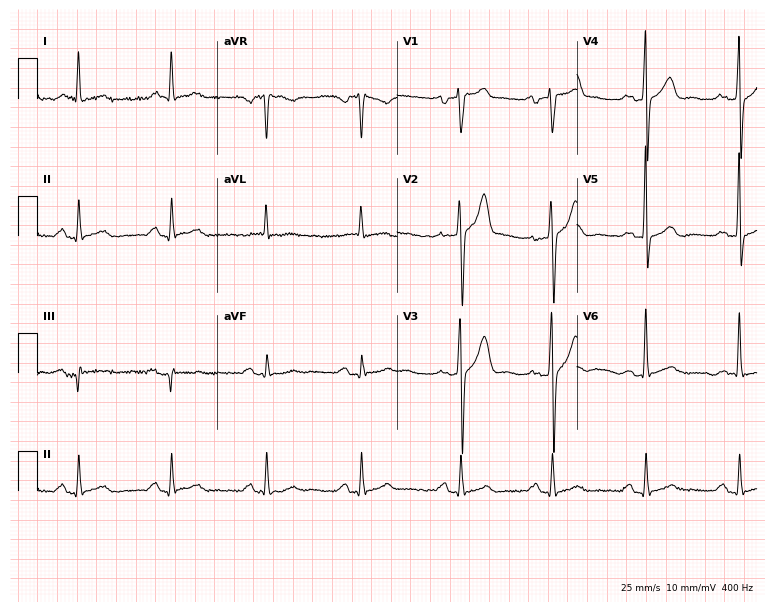
ECG — a male, 51 years old. Screened for six findings — first-degree AV block, right bundle branch block (RBBB), left bundle branch block (LBBB), sinus bradycardia, atrial fibrillation (AF), sinus tachycardia — none is recorded.